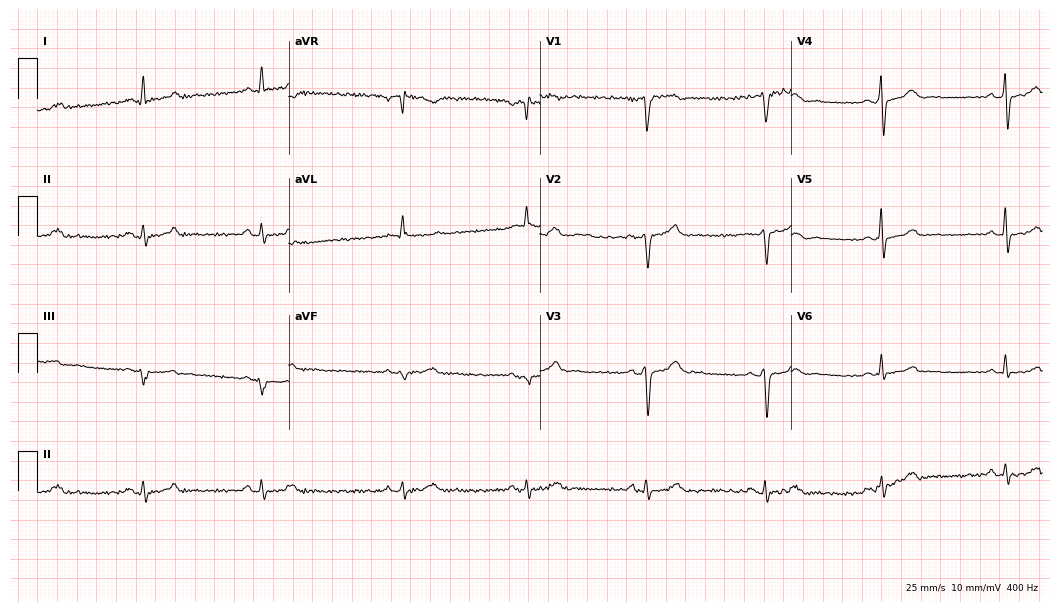
Resting 12-lead electrocardiogram (10.2-second recording at 400 Hz). Patient: a 59-year-old male. The tracing shows sinus bradycardia (a sinus rate of 50 beats per minute or less).